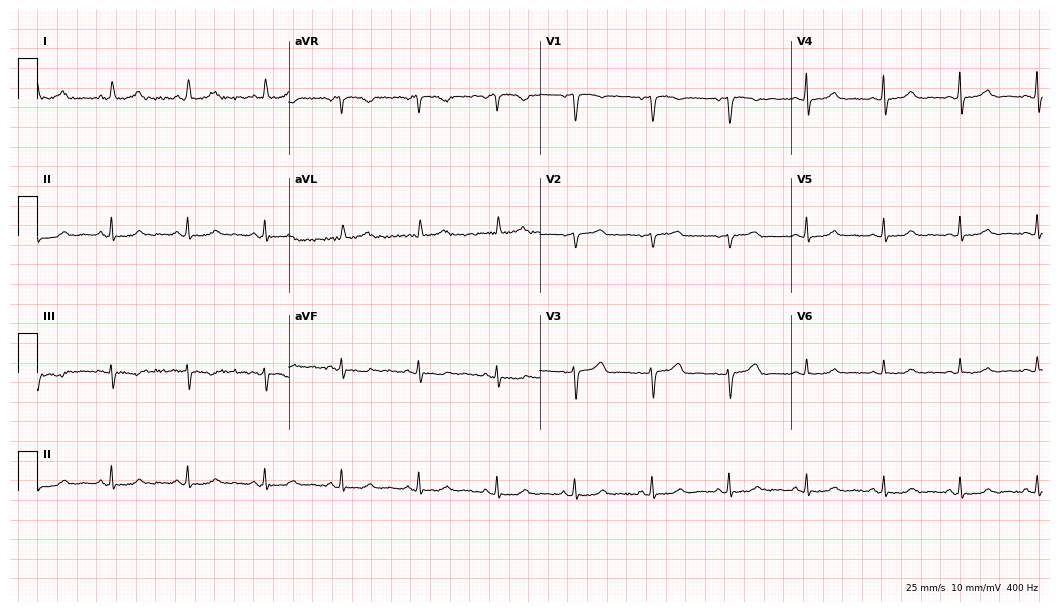
ECG — a 46-year-old female. Labelled as a normal ECG.